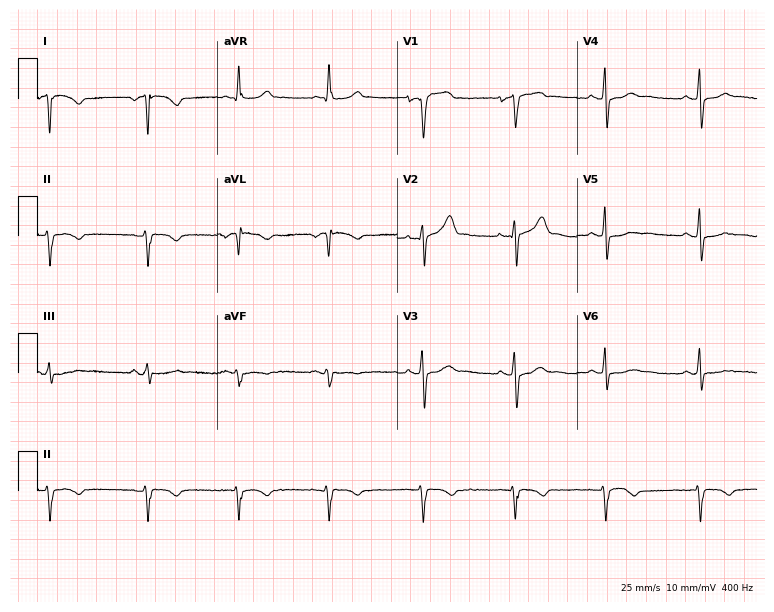
12-lead ECG from a 43-year-old male (7.3-second recording at 400 Hz). No first-degree AV block, right bundle branch block (RBBB), left bundle branch block (LBBB), sinus bradycardia, atrial fibrillation (AF) or sinus tachycardia recorded for this tracing.